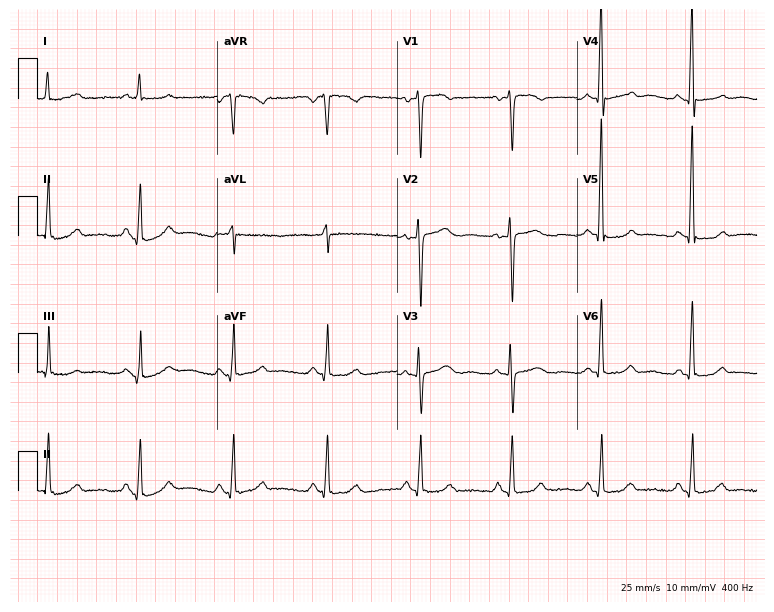
Standard 12-lead ECG recorded from a woman, 52 years old (7.3-second recording at 400 Hz). Read as a normal ECG.